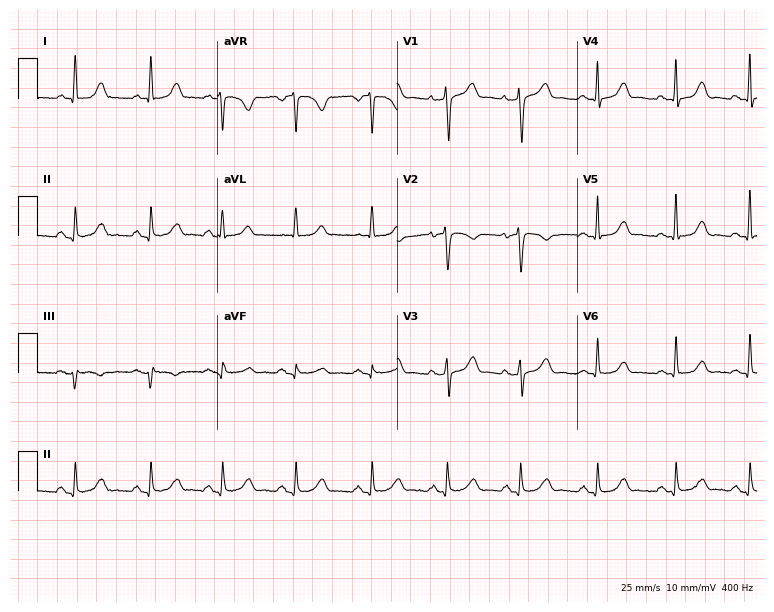
12-lead ECG from a 53-year-old female patient. Screened for six findings — first-degree AV block, right bundle branch block (RBBB), left bundle branch block (LBBB), sinus bradycardia, atrial fibrillation (AF), sinus tachycardia — none is recorded.